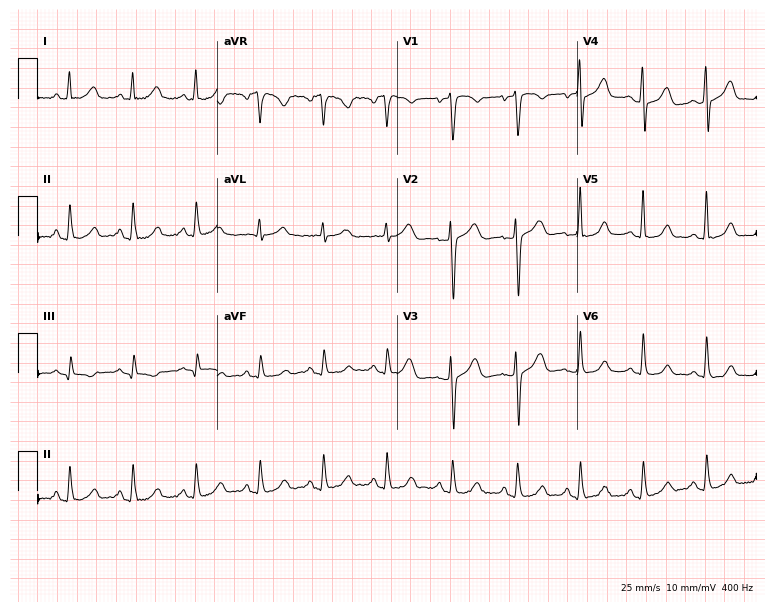
12-lead ECG from a 42-year-old female patient (7.3-second recording at 400 Hz). No first-degree AV block, right bundle branch block, left bundle branch block, sinus bradycardia, atrial fibrillation or sinus tachycardia recorded for this tracing. Other findings, if any, are not listed.